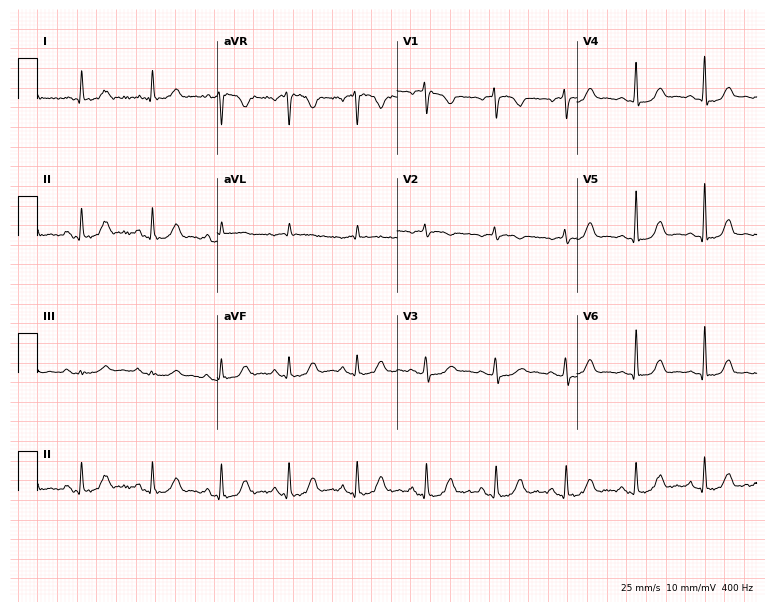
ECG — a 66-year-old female. Screened for six findings — first-degree AV block, right bundle branch block (RBBB), left bundle branch block (LBBB), sinus bradycardia, atrial fibrillation (AF), sinus tachycardia — none is recorded.